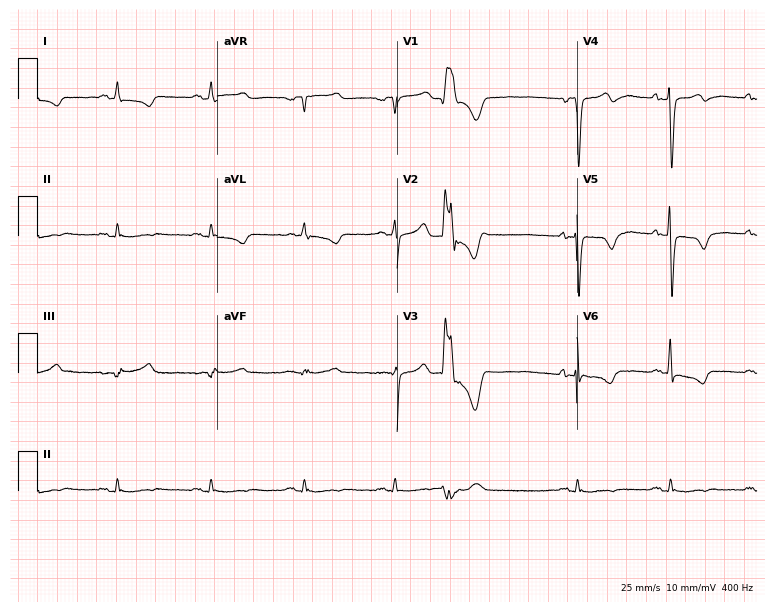
ECG — a 70-year-old male. Screened for six findings — first-degree AV block, right bundle branch block, left bundle branch block, sinus bradycardia, atrial fibrillation, sinus tachycardia — none is recorded. Findings outside these six are not listed.